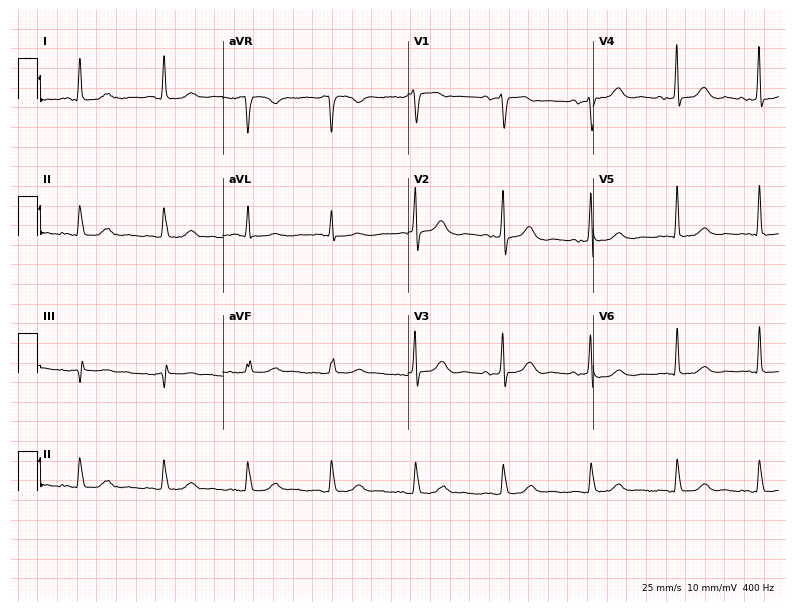
Standard 12-lead ECG recorded from an 85-year-old female (7.6-second recording at 400 Hz). None of these six findings is recorded: first-degree AV block, right bundle branch block, left bundle branch block, sinus bradycardia, atrial fibrillation, sinus tachycardia. Only these six findings were labelled.